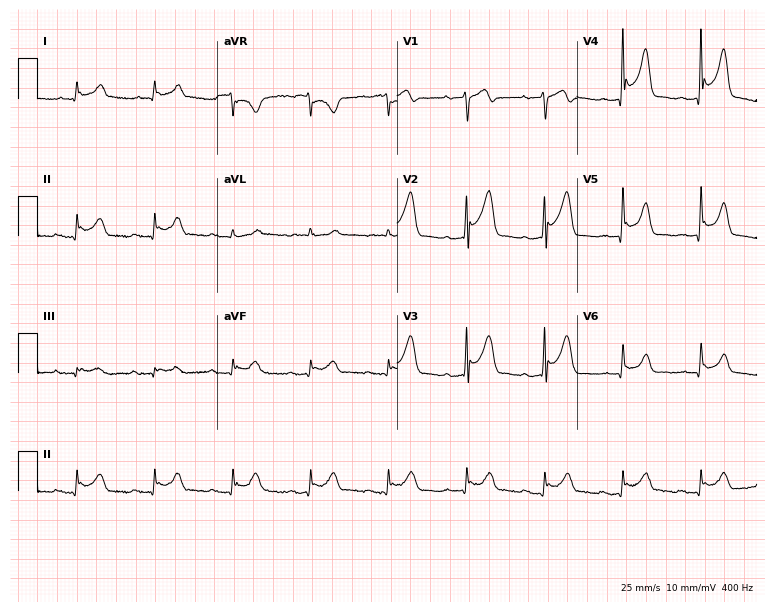
12-lead ECG from a 79-year-old male patient. No first-degree AV block, right bundle branch block, left bundle branch block, sinus bradycardia, atrial fibrillation or sinus tachycardia recorded for this tracing. Only these six findings were labelled.